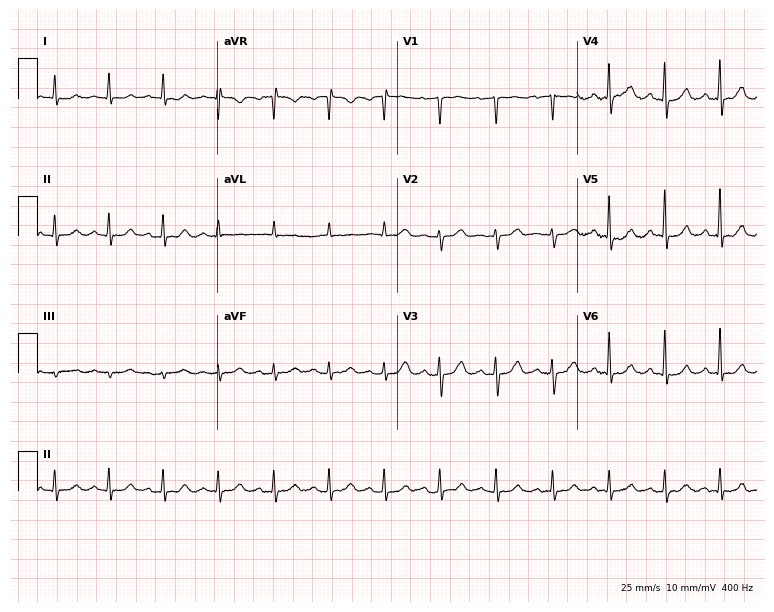
12-lead ECG from a male, 62 years old. Shows sinus tachycardia (a sinus rate of 100 beats per minute or more).